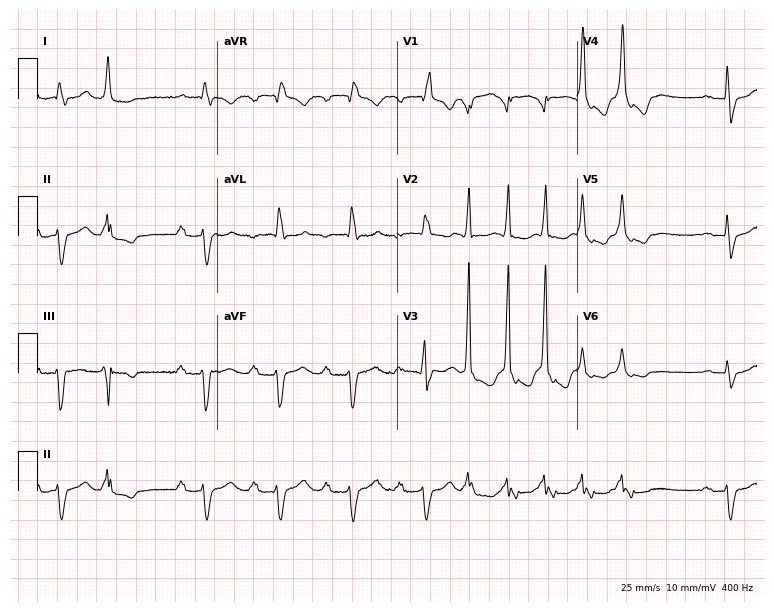
Electrocardiogram (7.3-second recording at 400 Hz), a 77-year-old man. Of the six screened findings (first-degree AV block, right bundle branch block, left bundle branch block, sinus bradycardia, atrial fibrillation, sinus tachycardia), none is recorded. Other findings, if any, are not listed.